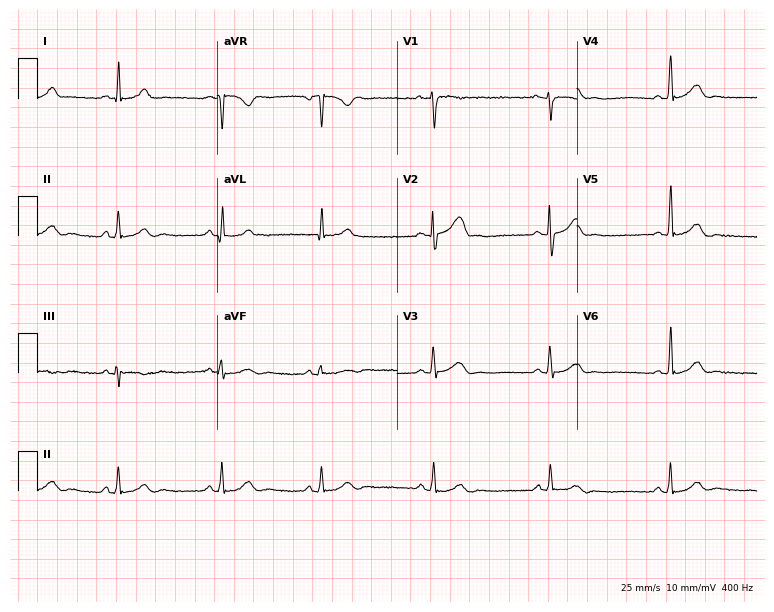
Resting 12-lead electrocardiogram. Patient: a man, 37 years old. None of these six findings is recorded: first-degree AV block, right bundle branch block, left bundle branch block, sinus bradycardia, atrial fibrillation, sinus tachycardia. Only these six findings were labelled.